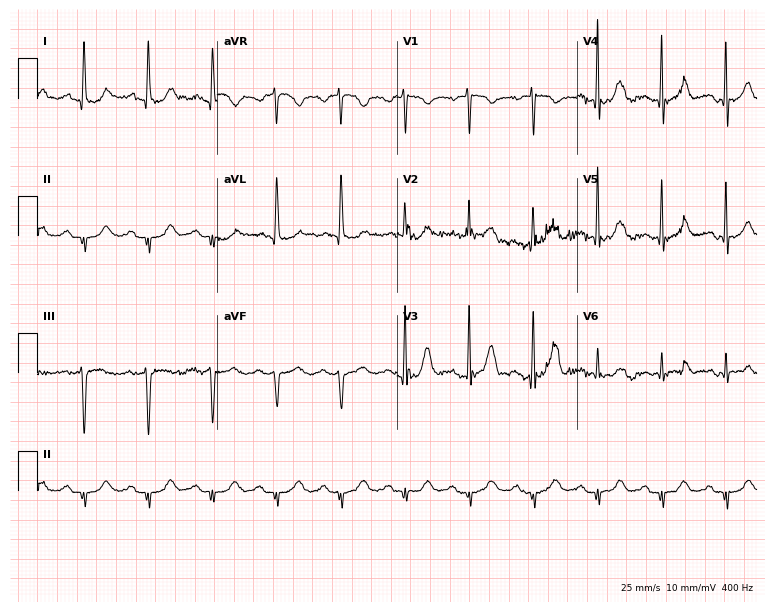
ECG (7.3-second recording at 400 Hz) — an 83-year-old female patient. Screened for six findings — first-degree AV block, right bundle branch block (RBBB), left bundle branch block (LBBB), sinus bradycardia, atrial fibrillation (AF), sinus tachycardia — none is recorded. Findings outside these six are not listed.